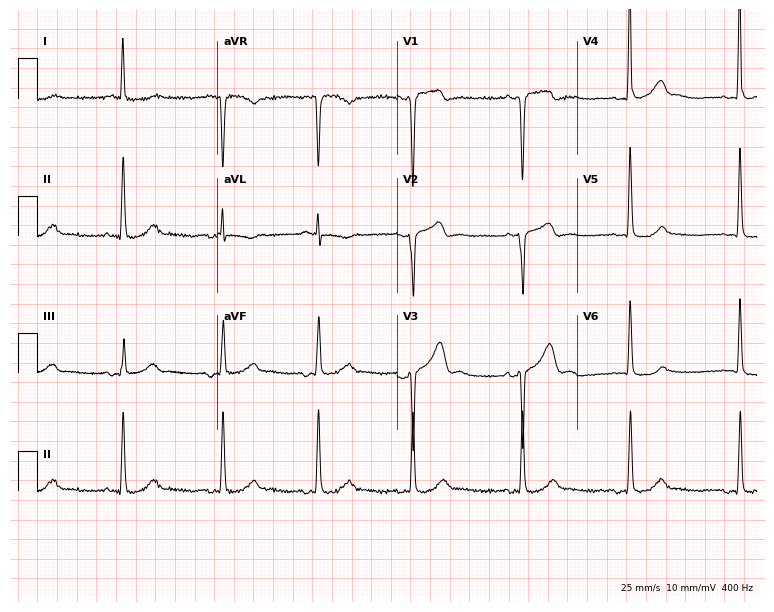
12-lead ECG (7.3-second recording at 400 Hz) from a 72-year-old woman. Screened for six findings — first-degree AV block, right bundle branch block, left bundle branch block, sinus bradycardia, atrial fibrillation, sinus tachycardia — none is recorded. Findings outside these six are not listed.